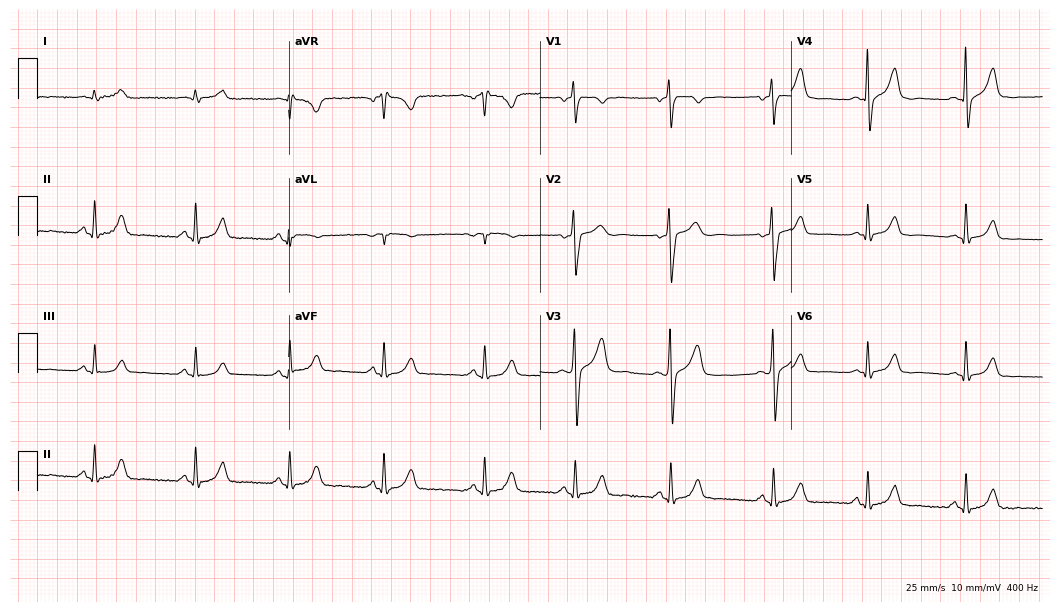
ECG — a 31-year-old male. Labelled as a normal ECG.